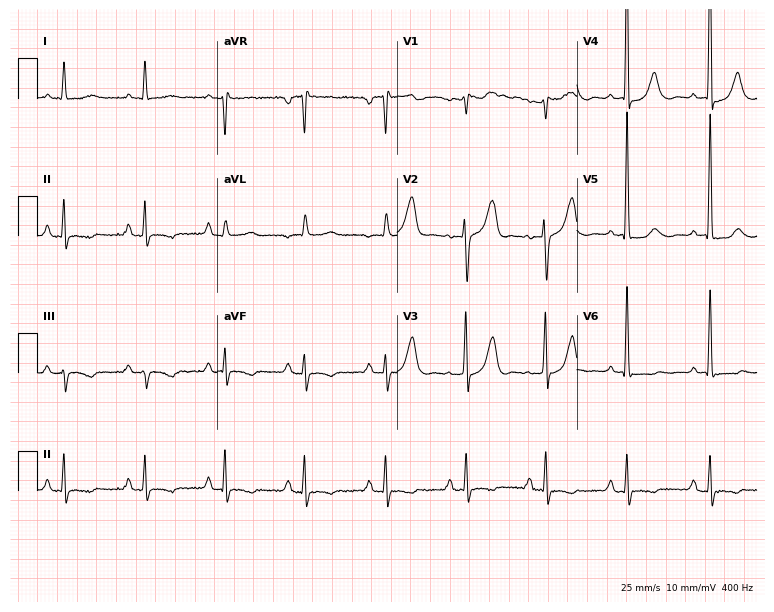
Standard 12-lead ECG recorded from a 76-year-old female patient (7.3-second recording at 400 Hz). None of these six findings is recorded: first-degree AV block, right bundle branch block, left bundle branch block, sinus bradycardia, atrial fibrillation, sinus tachycardia. Other findings, if any, are not listed.